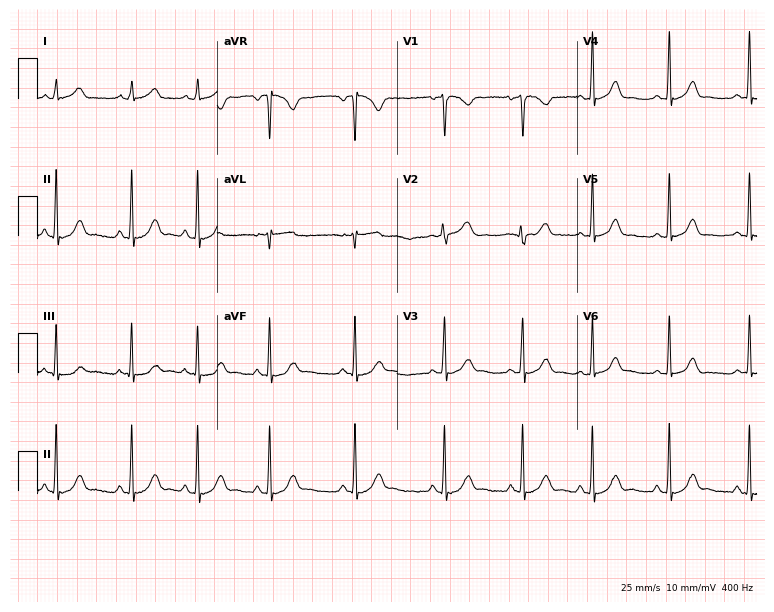
12-lead ECG from a 23-year-old woman. Labelled as a normal ECG.